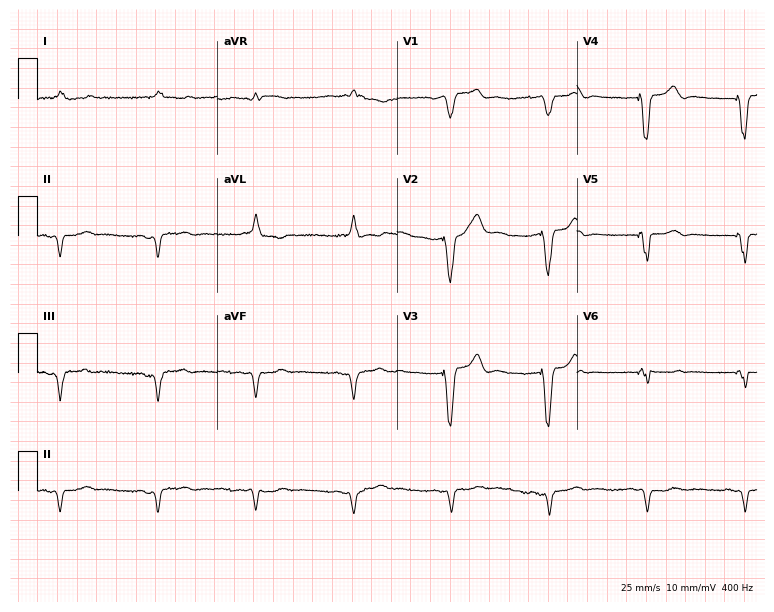
Resting 12-lead electrocardiogram (7.3-second recording at 400 Hz). Patient: a 75-year-old female. None of these six findings is recorded: first-degree AV block, right bundle branch block (RBBB), left bundle branch block (LBBB), sinus bradycardia, atrial fibrillation (AF), sinus tachycardia.